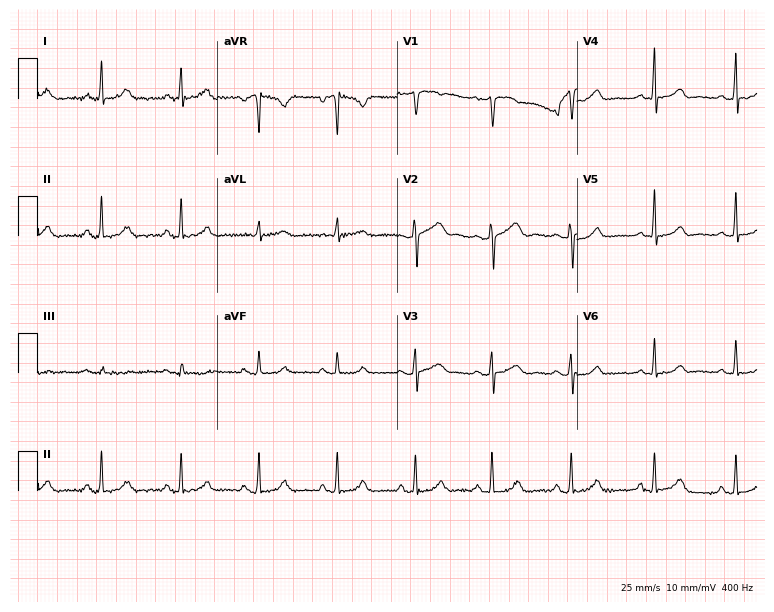
Standard 12-lead ECG recorded from a 27-year-old woman (7.3-second recording at 400 Hz). None of these six findings is recorded: first-degree AV block, right bundle branch block, left bundle branch block, sinus bradycardia, atrial fibrillation, sinus tachycardia. Other findings, if any, are not listed.